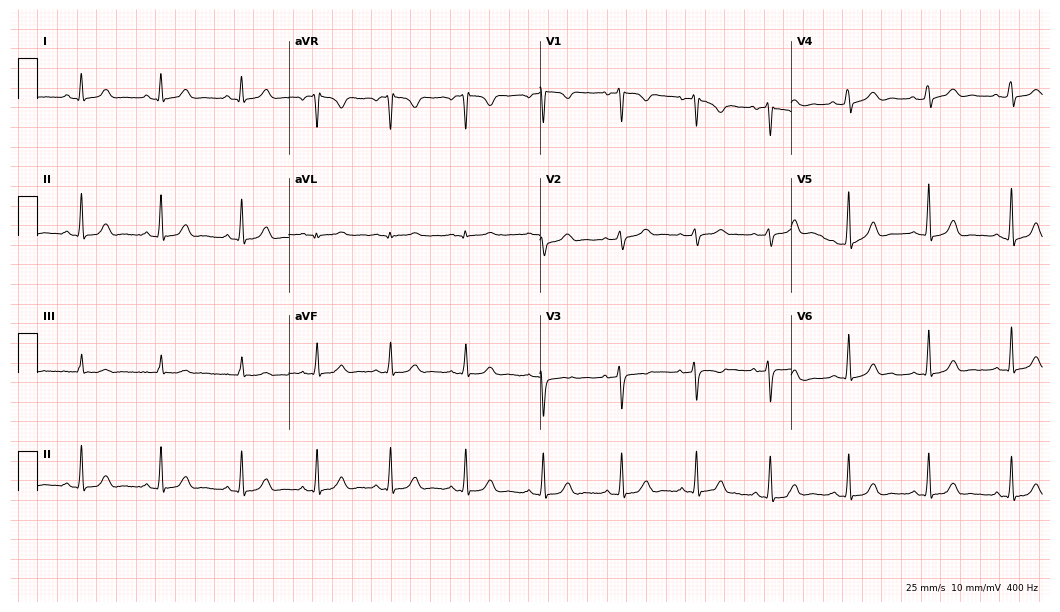
Resting 12-lead electrocardiogram (10.2-second recording at 400 Hz). Patient: a female, 25 years old. None of these six findings is recorded: first-degree AV block, right bundle branch block, left bundle branch block, sinus bradycardia, atrial fibrillation, sinus tachycardia.